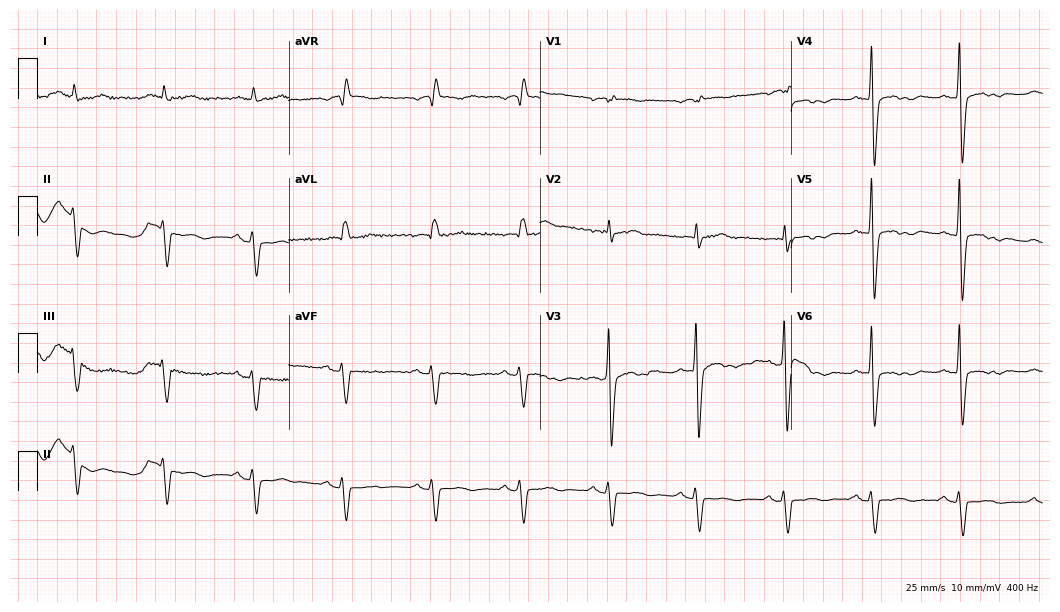
ECG (10.2-second recording at 400 Hz) — a 72-year-old male patient. Findings include right bundle branch block (RBBB).